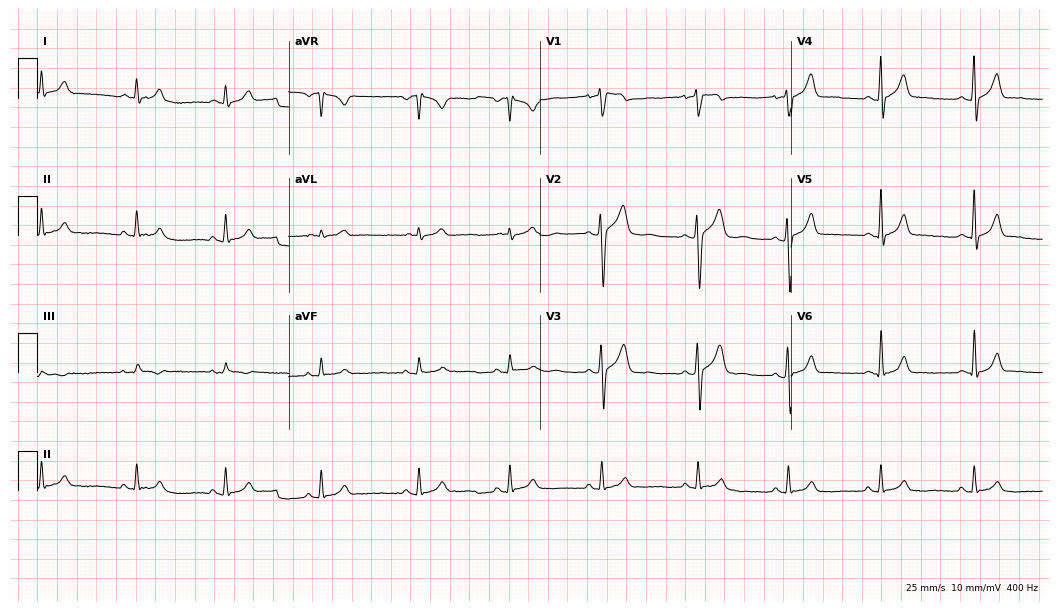
Resting 12-lead electrocardiogram. Patient: a male, 25 years old. Read as a normal ECG.